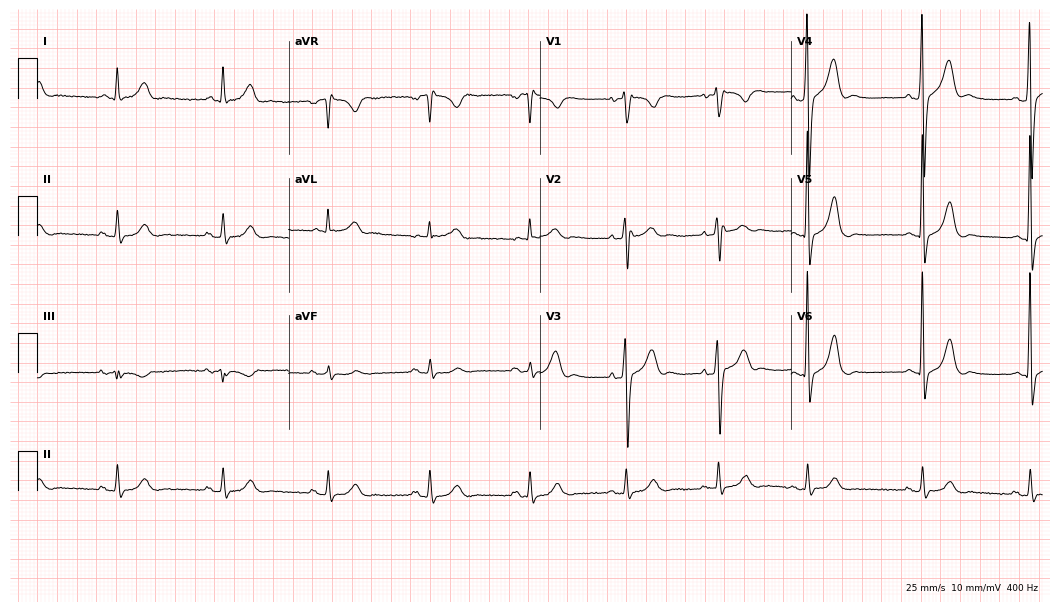
12-lead ECG from a 73-year-old man. Screened for six findings — first-degree AV block, right bundle branch block, left bundle branch block, sinus bradycardia, atrial fibrillation, sinus tachycardia — none is recorded.